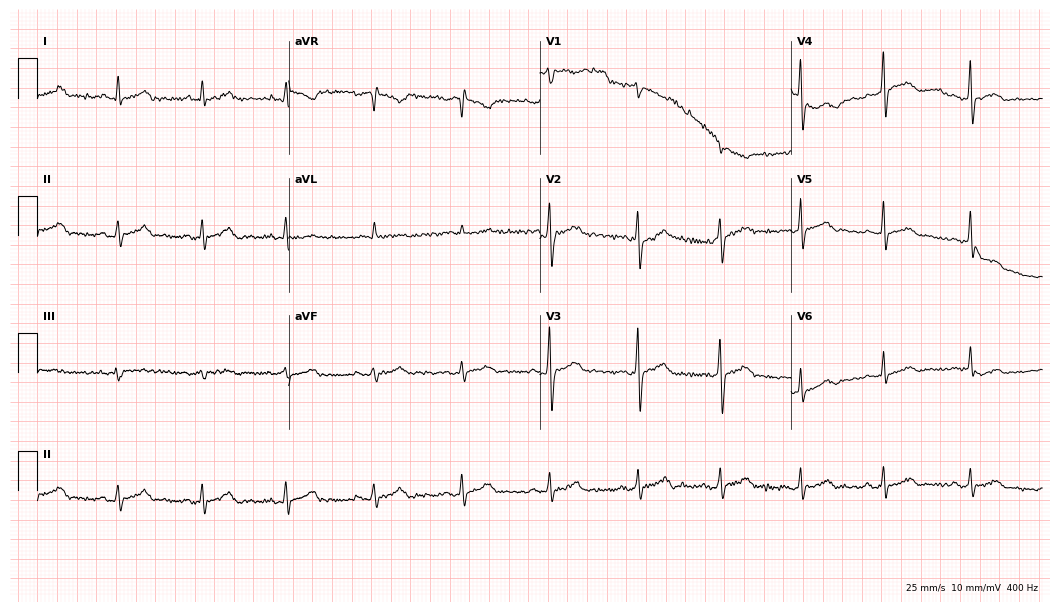
12-lead ECG from a 36-year-old male (10.2-second recording at 400 Hz). Recorded interpretation: within normal limits.